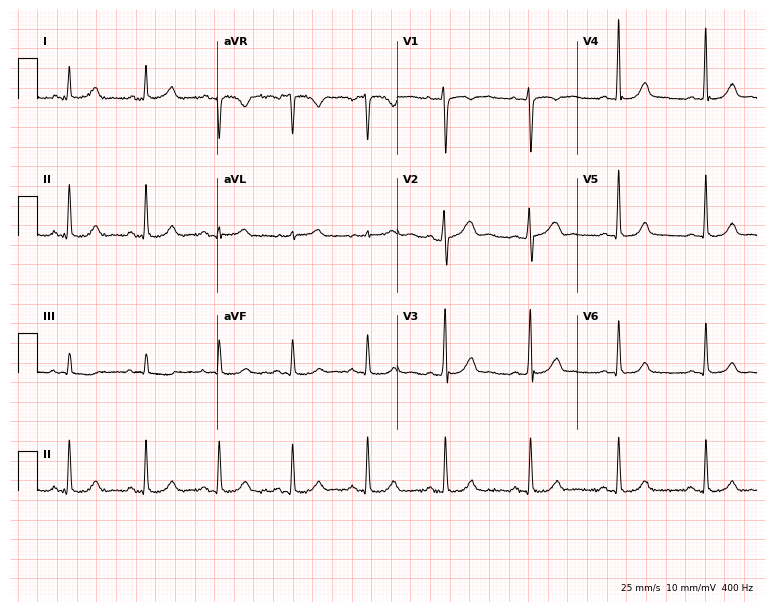
12-lead ECG (7.3-second recording at 400 Hz) from a female patient, 38 years old. Screened for six findings — first-degree AV block, right bundle branch block, left bundle branch block, sinus bradycardia, atrial fibrillation, sinus tachycardia — none is recorded. Only these six findings were labelled.